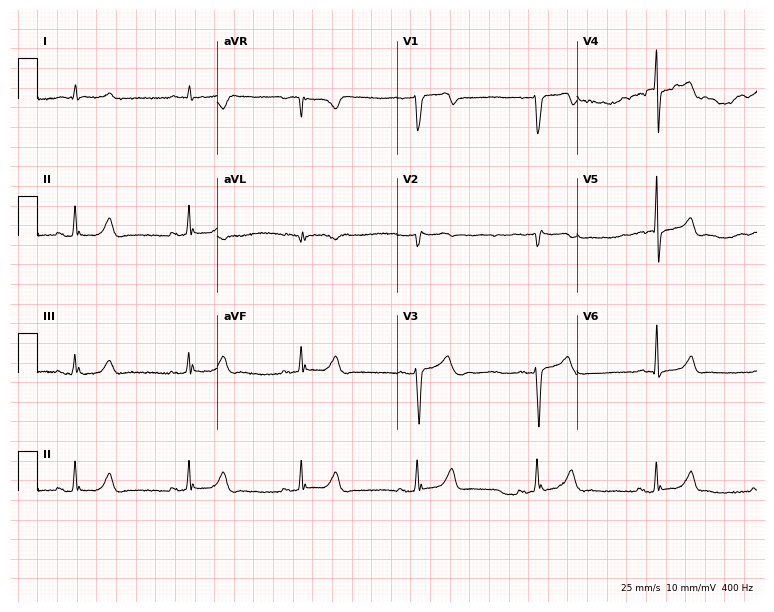
Electrocardiogram, a man, 59 years old. Of the six screened findings (first-degree AV block, right bundle branch block, left bundle branch block, sinus bradycardia, atrial fibrillation, sinus tachycardia), none is recorded.